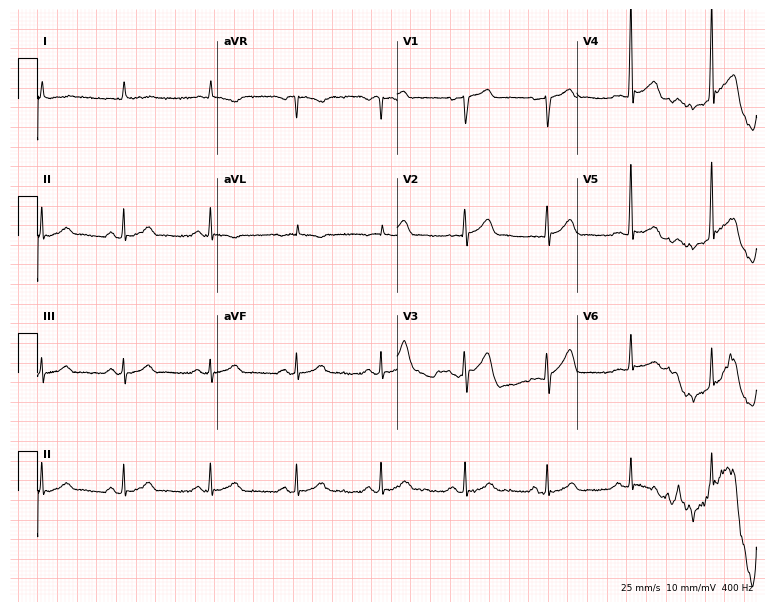
Resting 12-lead electrocardiogram (7.3-second recording at 400 Hz). Patient: a 72-year-old male. Read as a normal ECG.